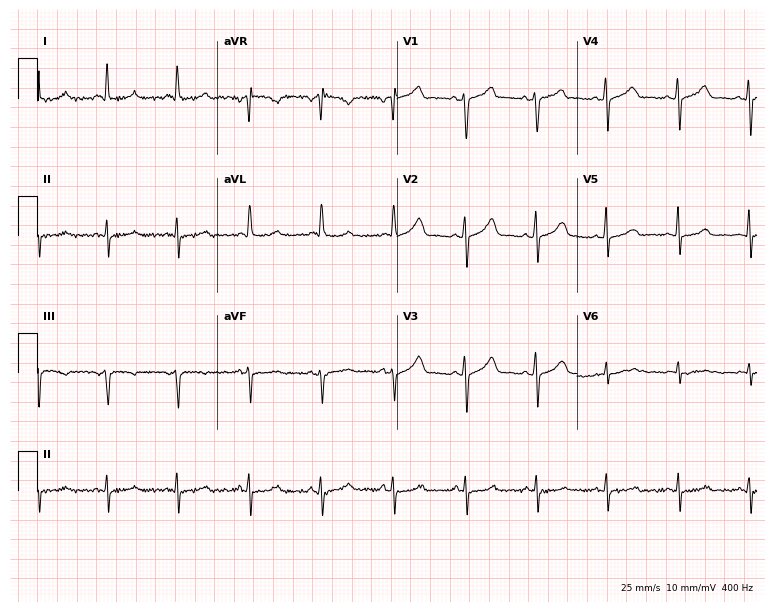
12-lead ECG from a female, 57 years old. Screened for six findings — first-degree AV block, right bundle branch block, left bundle branch block, sinus bradycardia, atrial fibrillation, sinus tachycardia — none is recorded. Only these six findings were labelled.